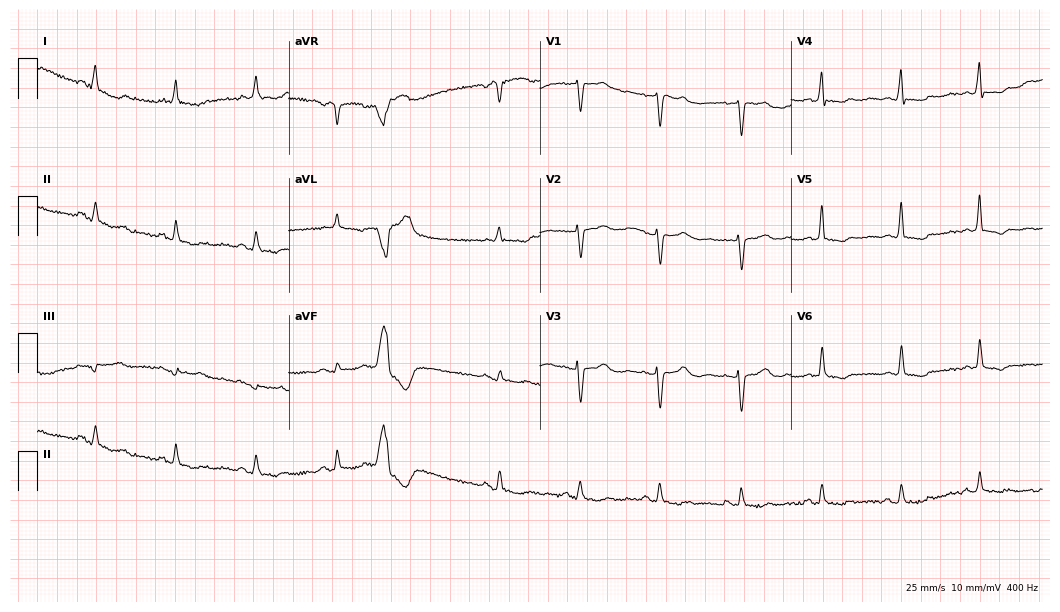
Standard 12-lead ECG recorded from a 75-year-old female patient. None of these six findings is recorded: first-degree AV block, right bundle branch block, left bundle branch block, sinus bradycardia, atrial fibrillation, sinus tachycardia.